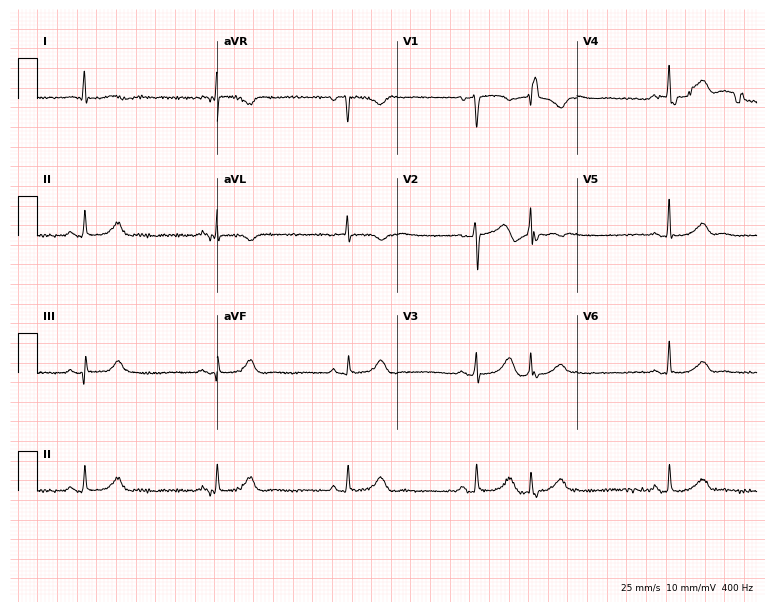
12-lead ECG from a woman, 78 years old. Findings include sinus bradycardia (a sinus rate of 50 beats per minute or less).